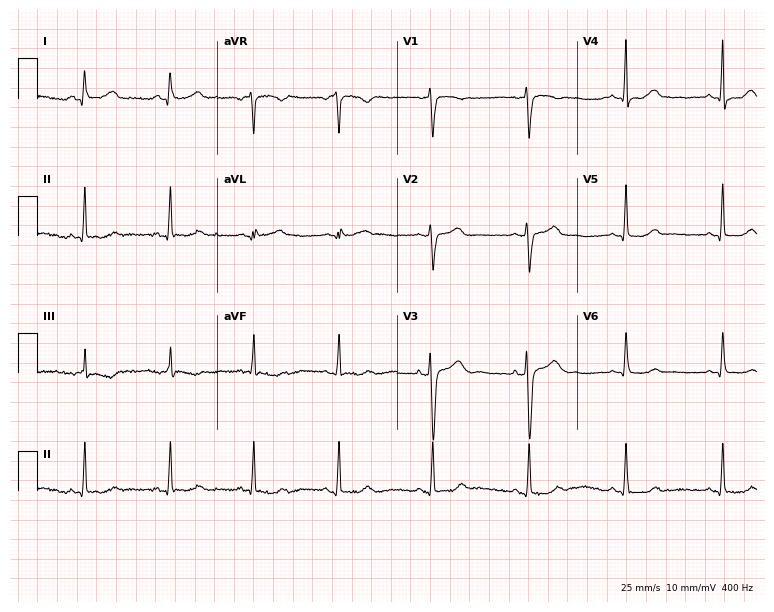
Standard 12-lead ECG recorded from a 42-year-old female patient. None of these six findings is recorded: first-degree AV block, right bundle branch block, left bundle branch block, sinus bradycardia, atrial fibrillation, sinus tachycardia.